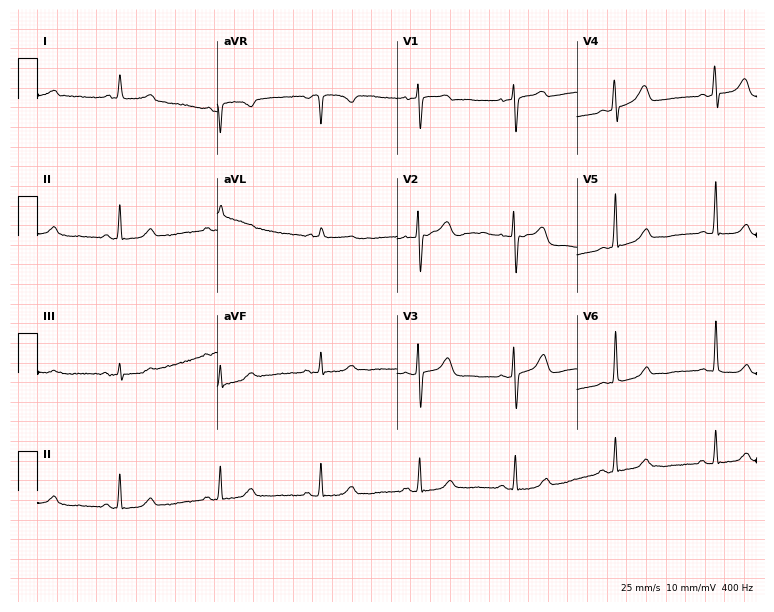
12-lead ECG (7.3-second recording at 400 Hz) from a 65-year-old female patient. Screened for six findings — first-degree AV block, right bundle branch block (RBBB), left bundle branch block (LBBB), sinus bradycardia, atrial fibrillation (AF), sinus tachycardia — none is recorded.